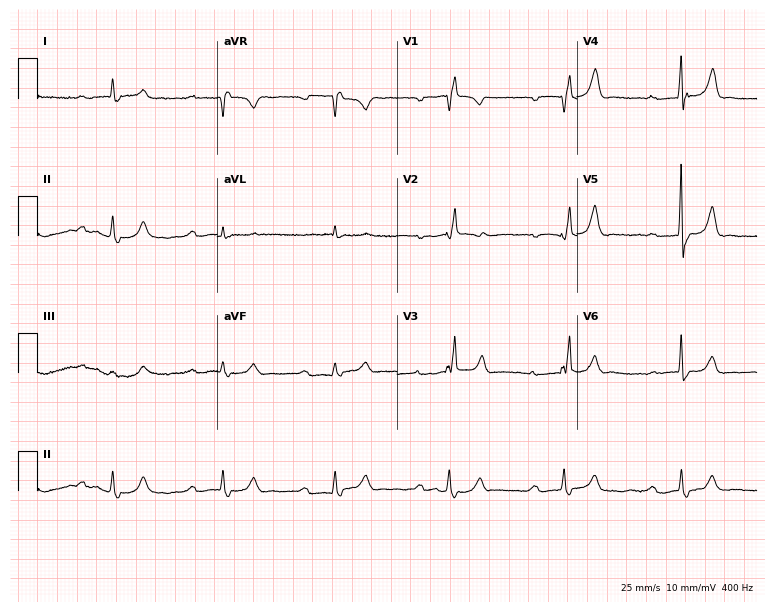
12-lead ECG from a female patient, 79 years old. Shows first-degree AV block, right bundle branch block (RBBB).